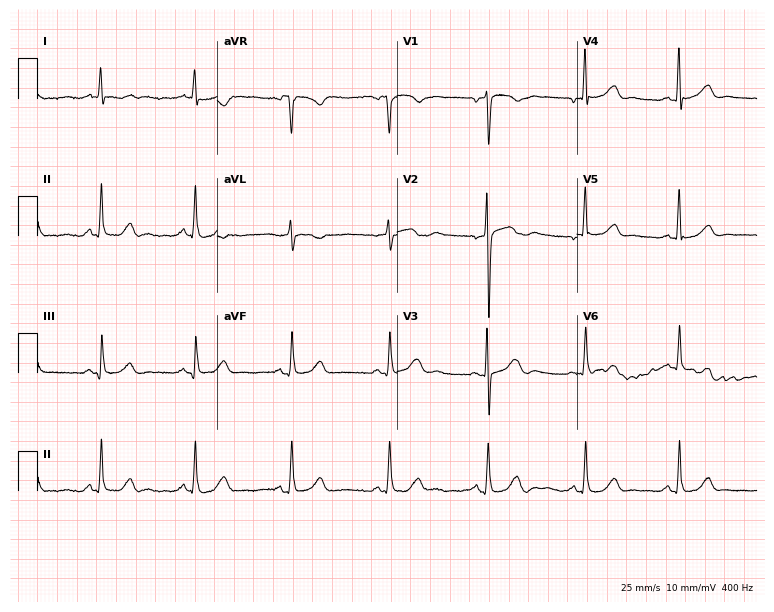
Electrocardiogram (7.3-second recording at 400 Hz), a 72-year-old female. Overall reading on record: normal ECG.